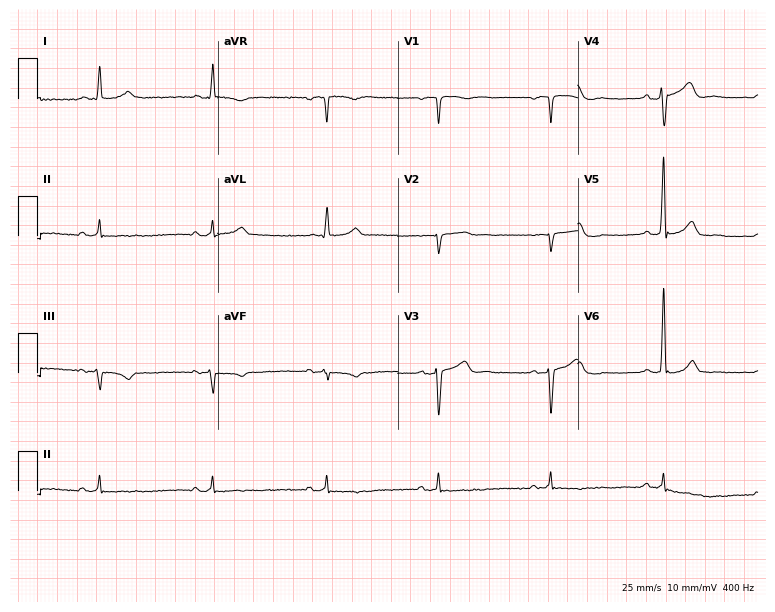
Resting 12-lead electrocardiogram. Patient: a 78-year-old male. Read as a normal ECG.